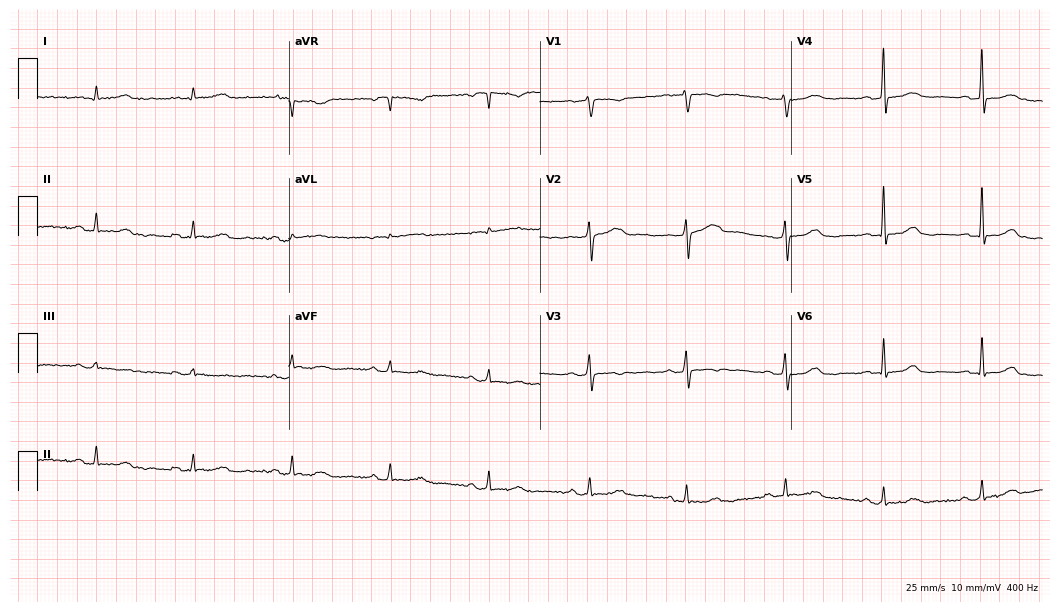
Electrocardiogram, a woman, 66 years old. Overall reading on record: normal ECG.